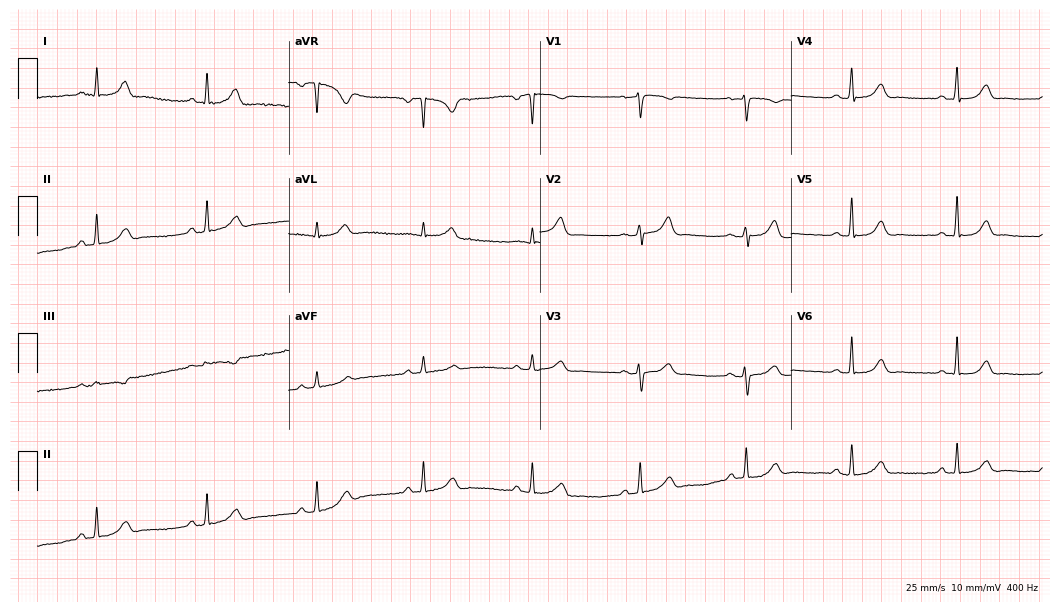
ECG — a 50-year-old female patient. Labelled as a normal ECG.